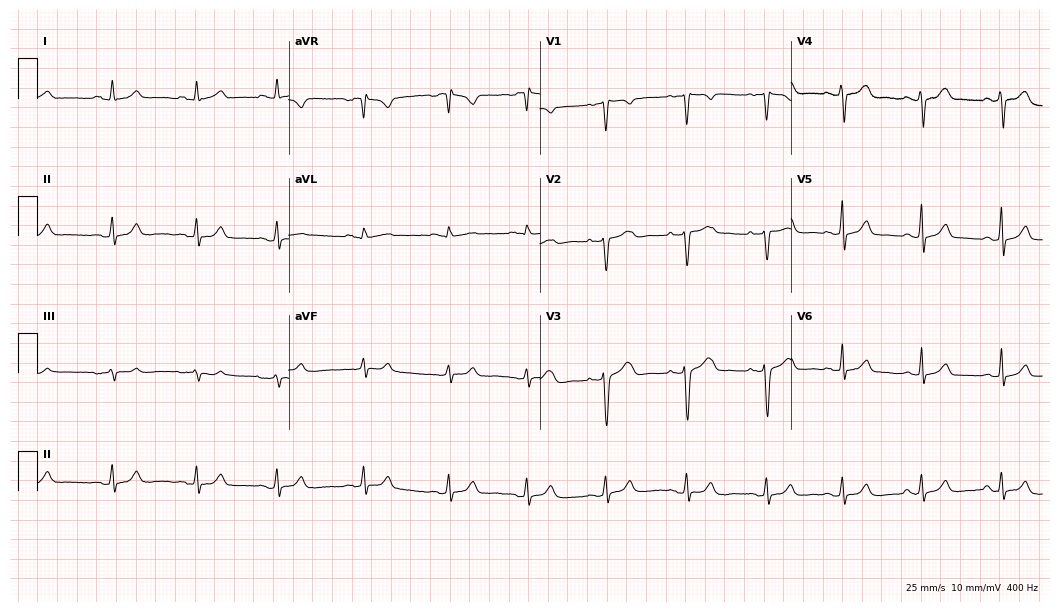
12-lead ECG from a female patient, 38 years old. No first-degree AV block, right bundle branch block, left bundle branch block, sinus bradycardia, atrial fibrillation or sinus tachycardia recorded for this tracing. Findings outside these six are not listed.